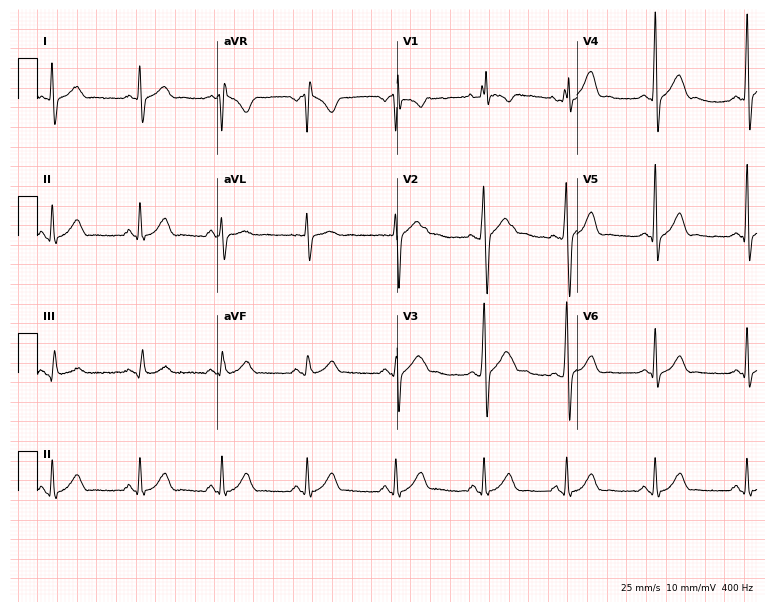
12-lead ECG from a male, 32 years old. Screened for six findings — first-degree AV block, right bundle branch block (RBBB), left bundle branch block (LBBB), sinus bradycardia, atrial fibrillation (AF), sinus tachycardia — none is recorded. Other findings, if any, are not listed.